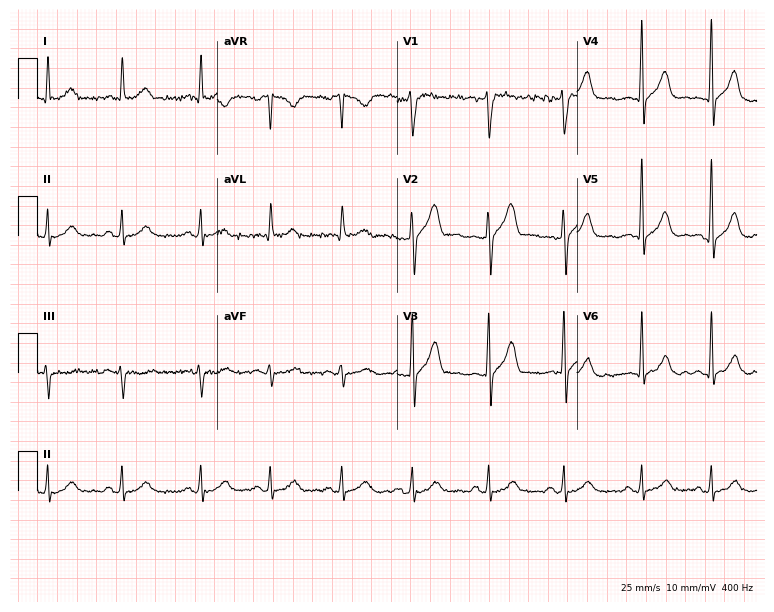
Resting 12-lead electrocardiogram (7.3-second recording at 400 Hz). Patient: a 56-year-old male. Read as a normal ECG.